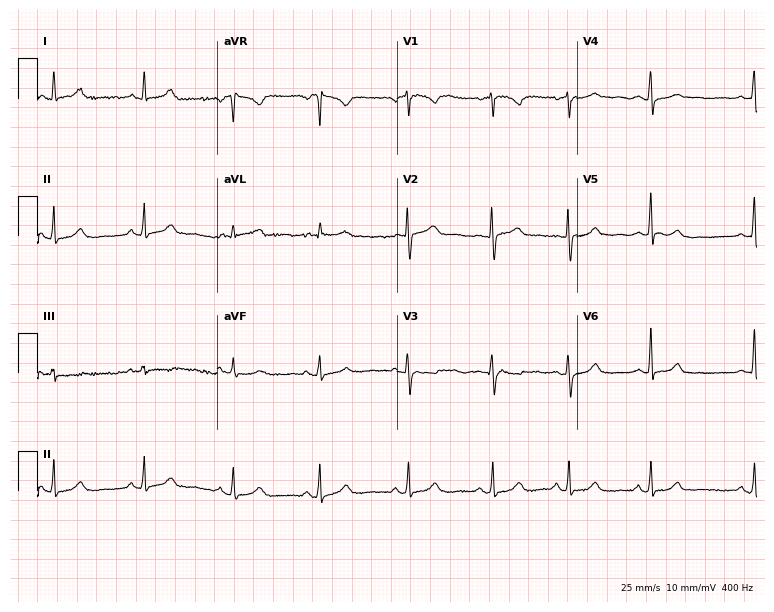
12-lead ECG (7.3-second recording at 400 Hz) from a female patient, 45 years old. Labelled as a normal ECG.